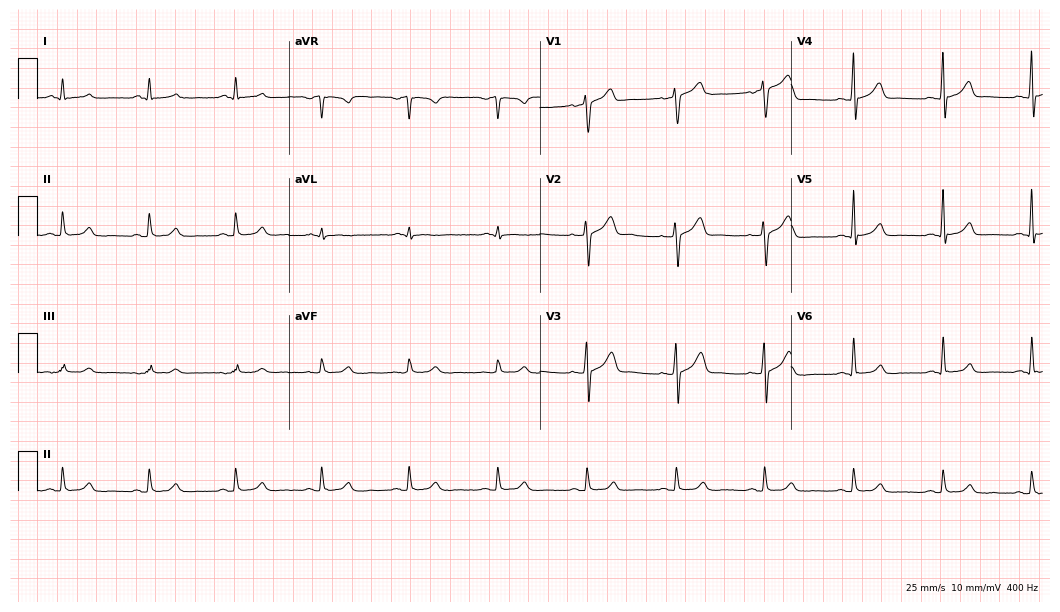
Resting 12-lead electrocardiogram. Patient: a 63-year-old male. Read as a normal ECG.